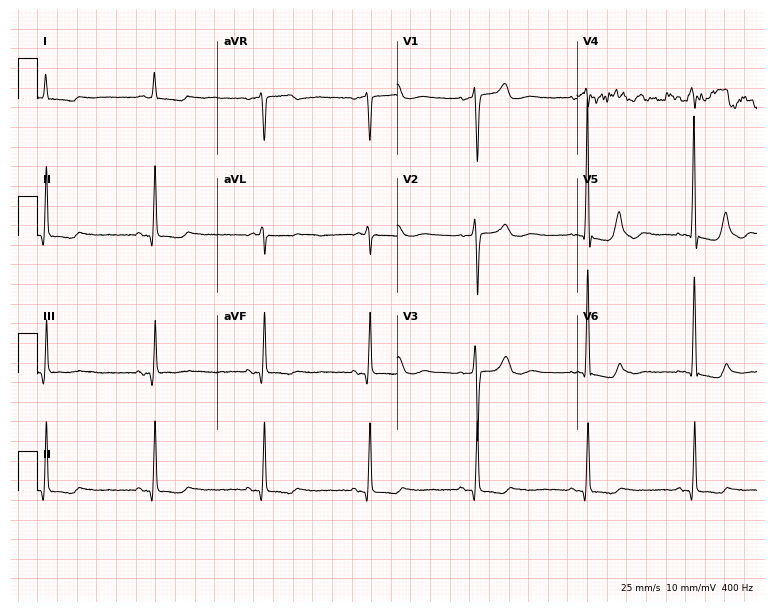
Standard 12-lead ECG recorded from a 74-year-old male patient (7.3-second recording at 400 Hz). None of these six findings is recorded: first-degree AV block, right bundle branch block, left bundle branch block, sinus bradycardia, atrial fibrillation, sinus tachycardia. Only these six findings were labelled.